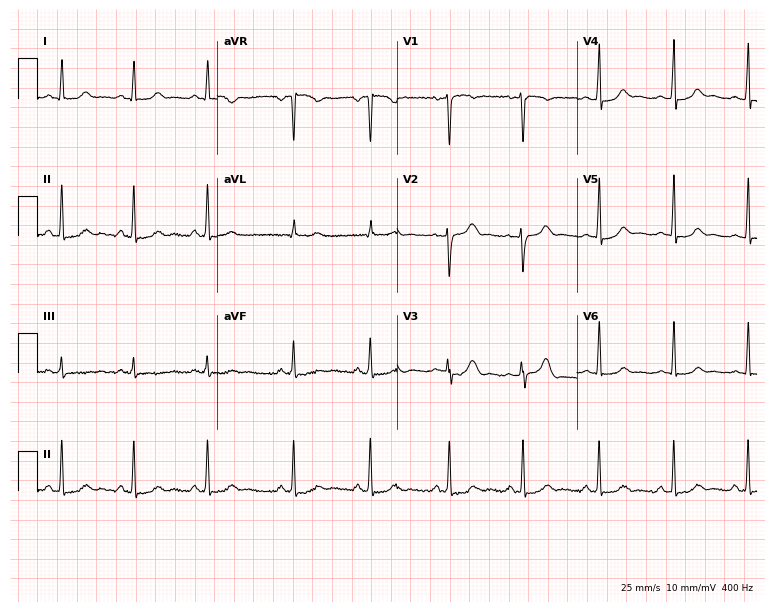
Standard 12-lead ECG recorded from a female, 17 years old. Read as a normal ECG.